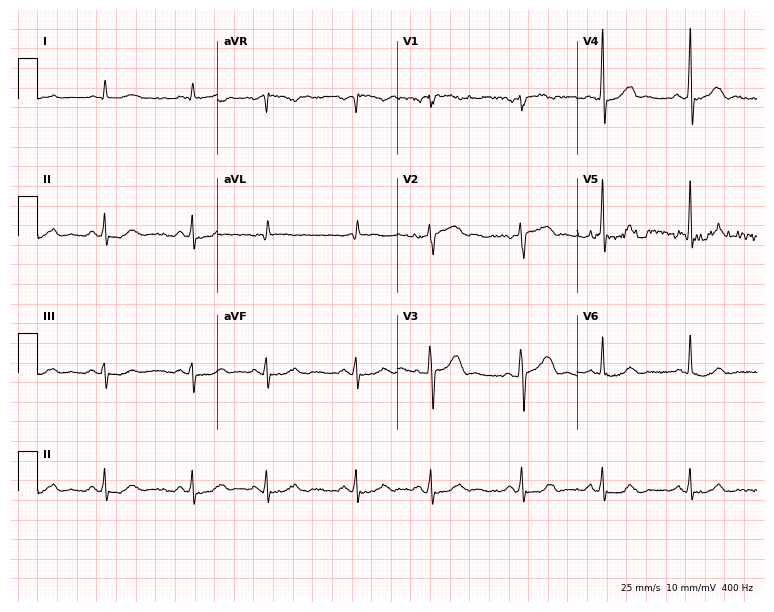
Electrocardiogram, a man, 63 years old. Overall reading on record: normal ECG.